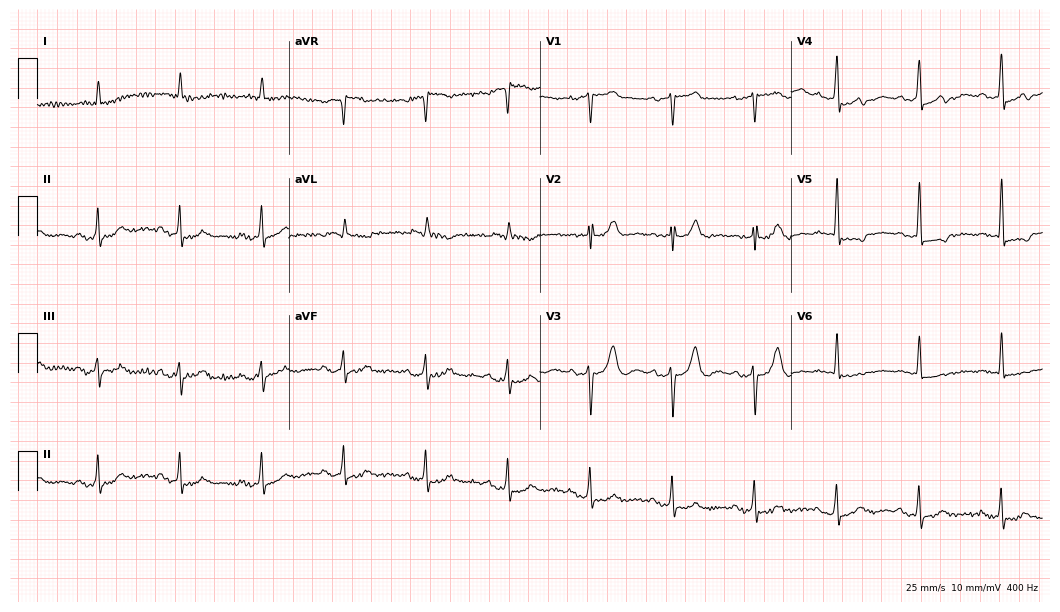
12-lead ECG from an 85-year-old male patient (10.2-second recording at 400 Hz). No first-degree AV block, right bundle branch block, left bundle branch block, sinus bradycardia, atrial fibrillation or sinus tachycardia recorded for this tracing.